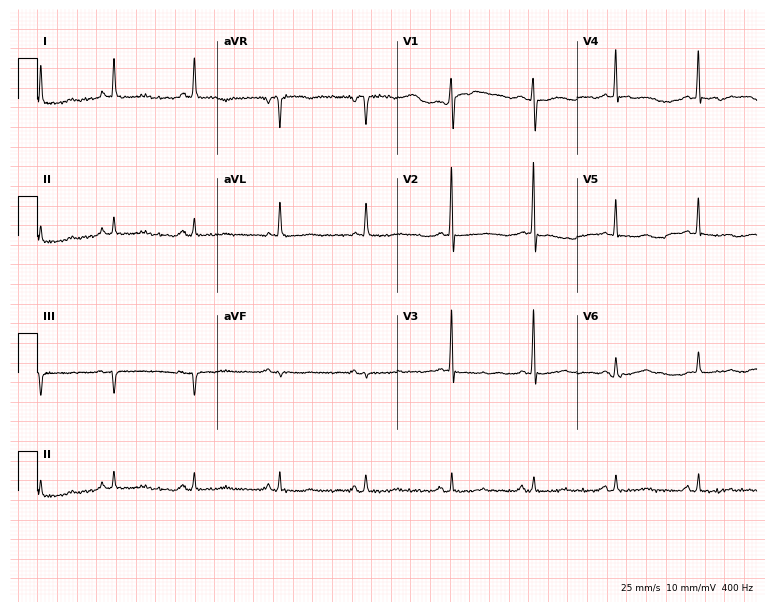
ECG — a 47-year-old female patient. Screened for six findings — first-degree AV block, right bundle branch block (RBBB), left bundle branch block (LBBB), sinus bradycardia, atrial fibrillation (AF), sinus tachycardia — none is recorded.